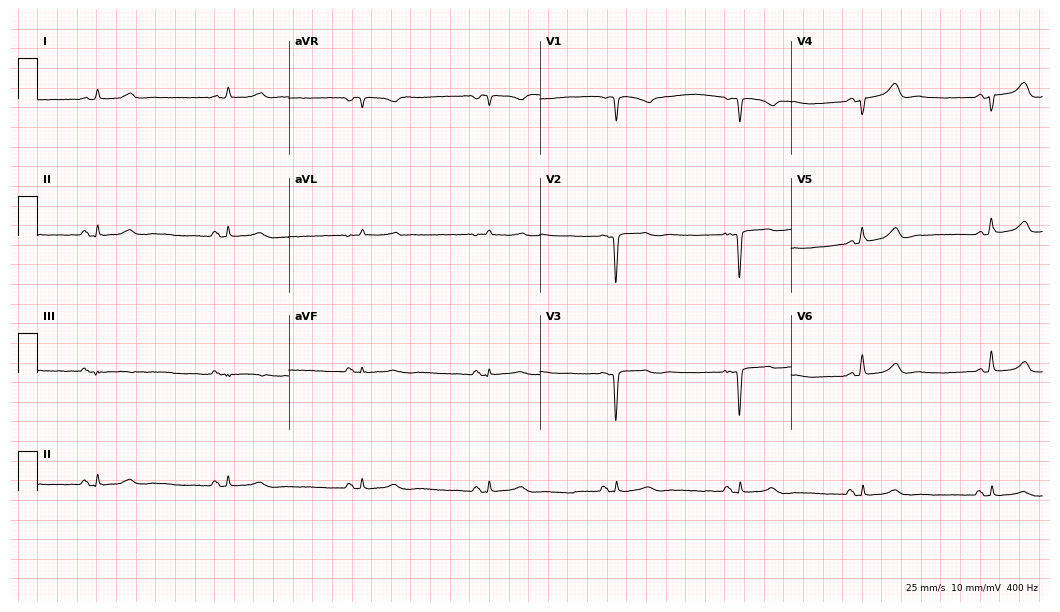
12-lead ECG from a female patient, 54 years old. Shows sinus bradycardia (a sinus rate of 50 beats per minute or less).